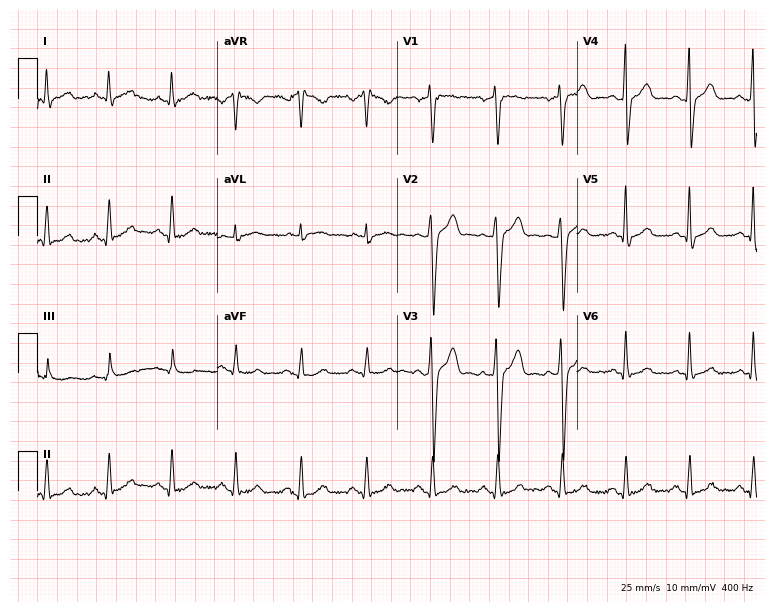
Resting 12-lead electrocardiogram. Patient: a 41-year-old man. None of these six findings is recorded: first-degree AV block, right bundle branch block, left bundle branch block, sinus bradycardia, atrial fibrillation, sinus tachycardia. Only these six findings were labelled.